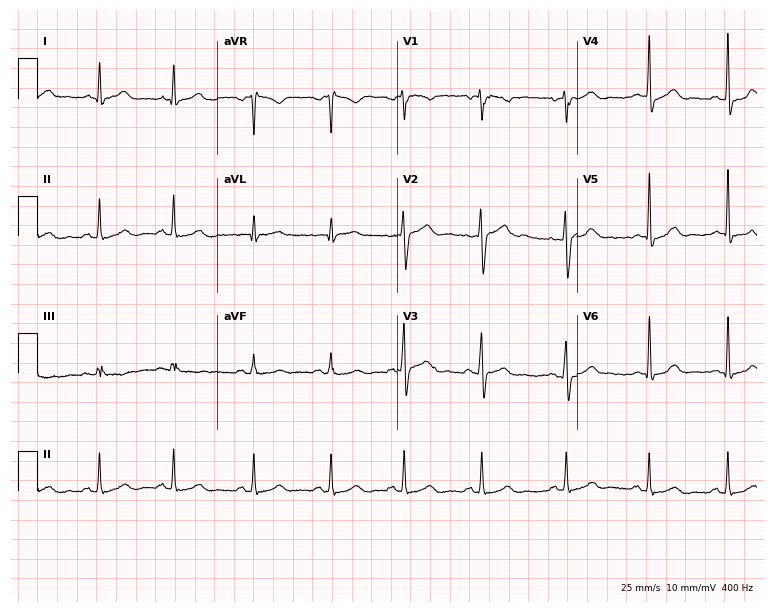
ECG — a female, 29 years old. Labelled as a normal ECG.